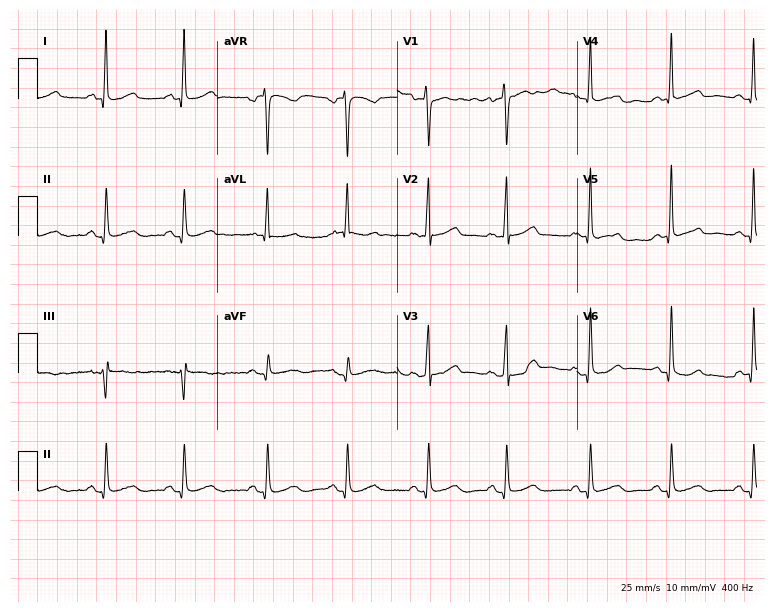
Electrocardiogram (7.3-second recording at 400 Hz), a woman, 38 years old. Overall reading on record: normal ECG.